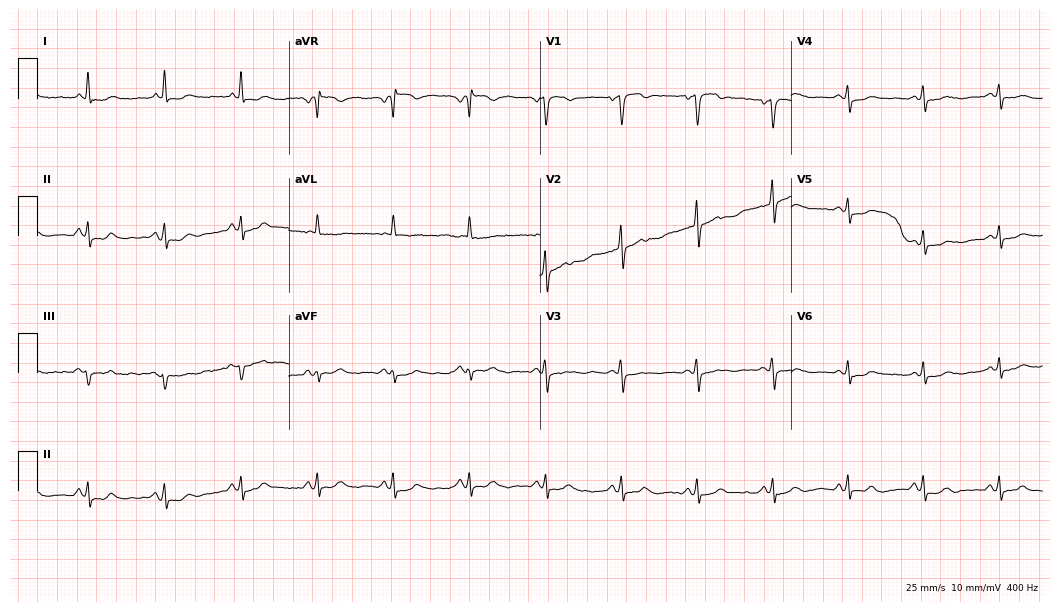
Electrocardiogram, a female patient, 72 years old. Of the six screened findings (first-degree AV block, right bundle branch block, left bundle branch block, sinus bradycardia, atrial fibrillation, sinus tachycardia), none is recorded. Other findings, if any, are not listed.